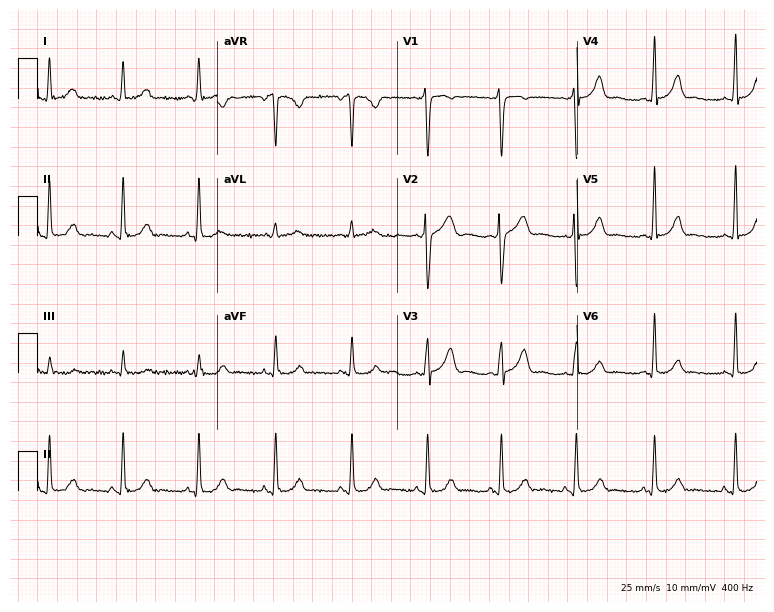
12-lead ECG from a female patient, 30 years old (7.3-second recording at 400 Hz). No first-degree AV block, right bundle branch block, left bundle branch block, sinus bradycardia, atrial fibrillation or sinus tachycardia recorded for this tracing.